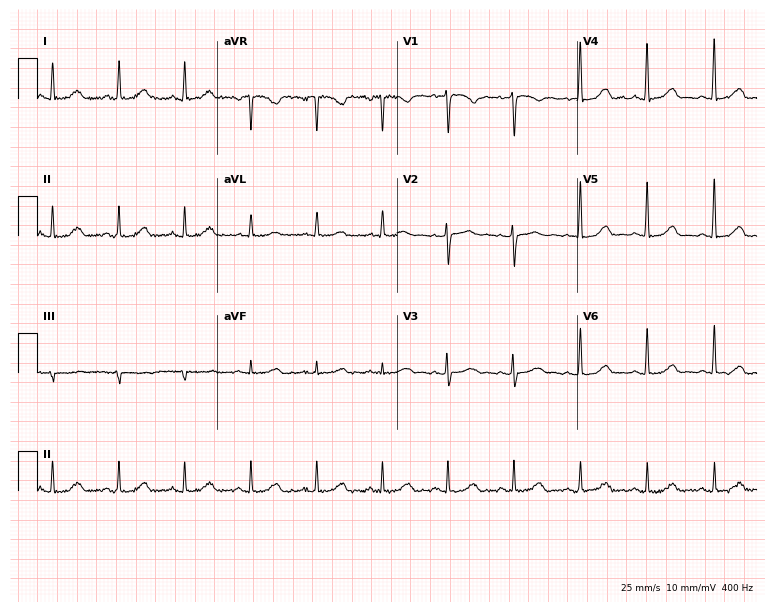
Standard 12-lead ECG recorded from a 52-year-old female patient. None of these six findings is recorded: first-degree AV block, right bundle branch block, left bundle branch block, sinus bradycardia, atrial fibrillation, sinus tachycardia. Findings outside these six are not listed.